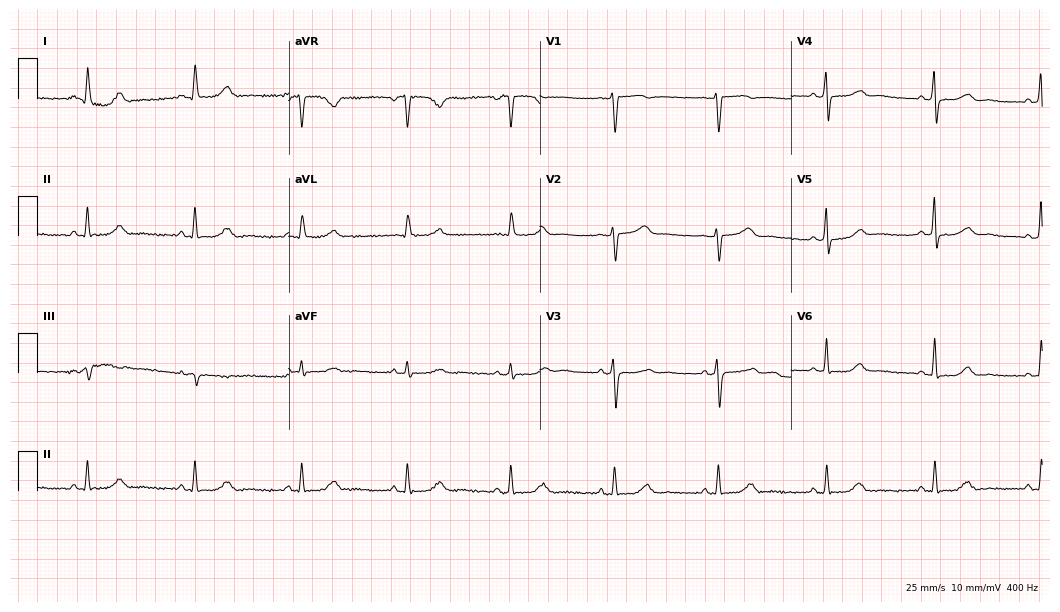
ECG — a female, 50 years old. Labelled as a normal ECG.